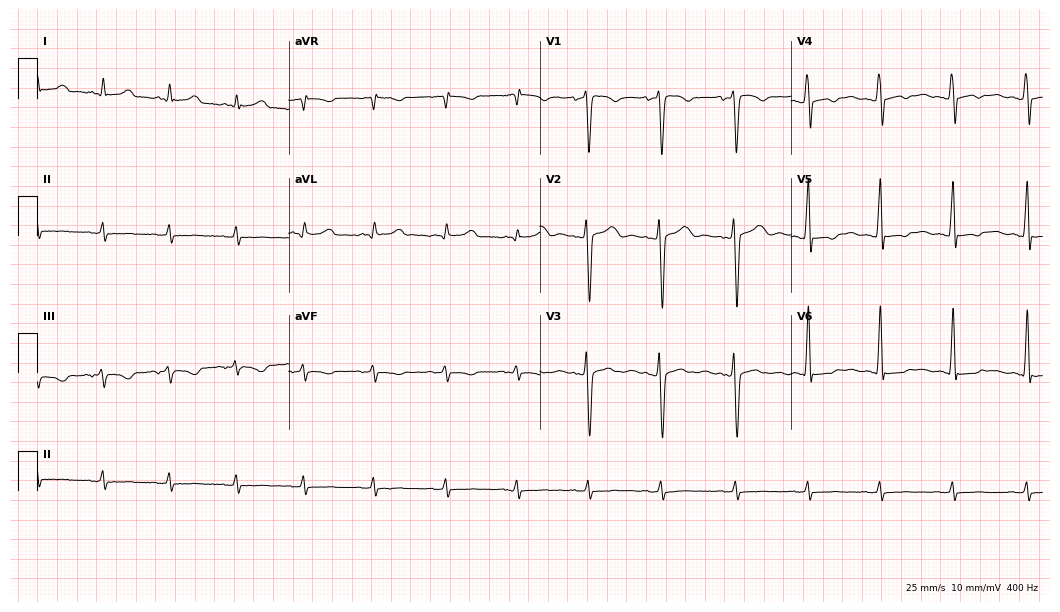
Resting 12-lead electrocardiogram (10.2-second recording at 400 Hz). Patient: a 27-year-old female. None of these six findings is recorded: first-degree AV block, right bundle branch block (RBBB), left bundle branch block (LBBB), sinus bradycardia, atrial fibrillation (AF), sinus tachycardia. Findings outside these six are not listed.